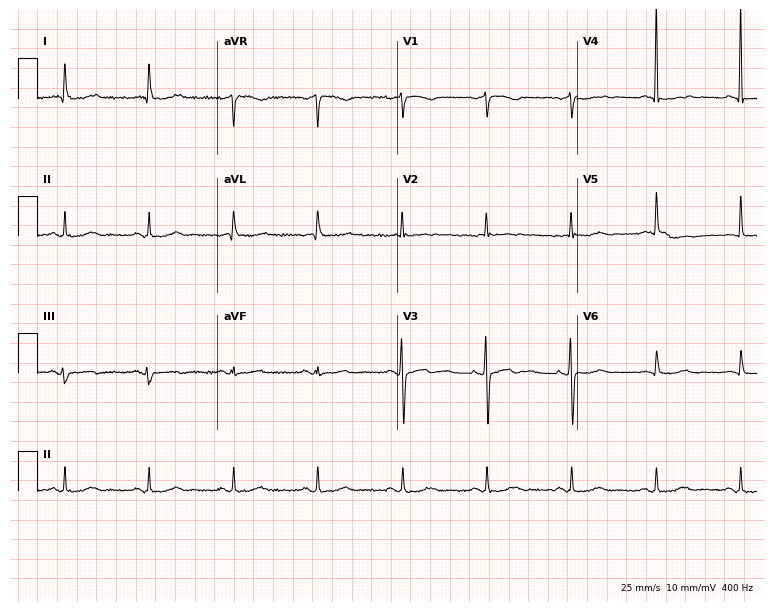
ECG — a female patient, 77 years old. Screened for six findings — first-degree AV block, right bundle branch block, left bundle branch block, sinus bradycardia, atrial fibrillation, sinus tachycardia — none is recorded. Findings outside these six are not listed.